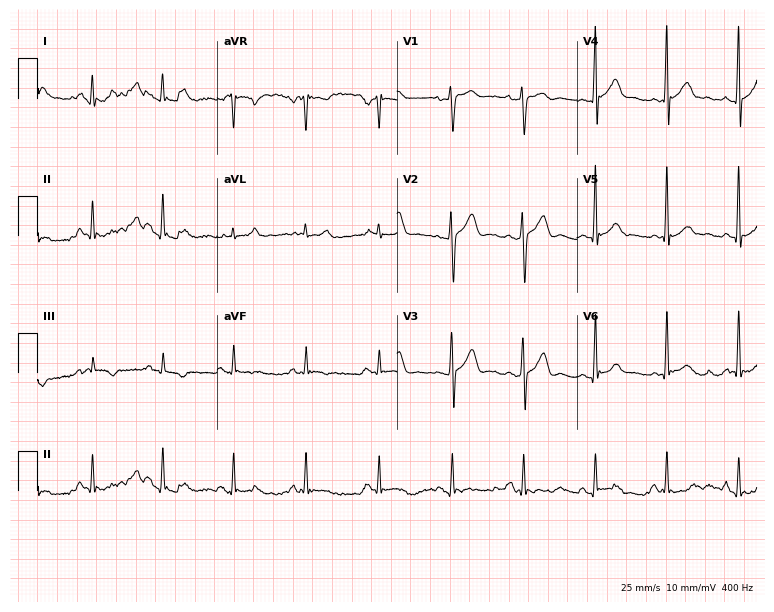
12-lead ECG (7.3-second recording at 400 Hz) from a man, 51 years old. Screened for six findings — first-degree AV block, right bundle branch block, left bundle branch block, sinus bradycardia, atrial fibrillation, sinus tachycardia — none is recorded. Findings outside these six are not listed.